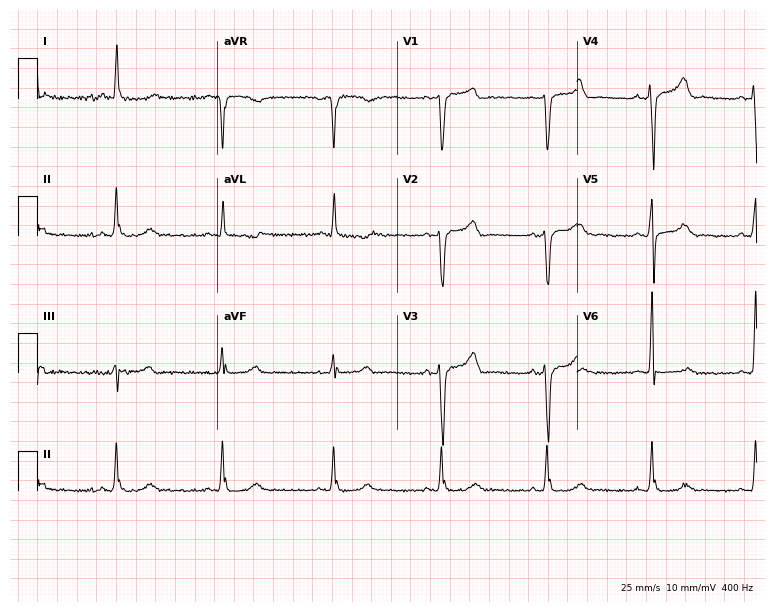
12-lead ECG from a 56-year-old male (7.3-second recording at 400 Hz). No first-degree AV block, right bundle branch block, left bundle branch block, sinus bradycardia, atrial fibrillation or sinus tachycardia recorded for this tracing.